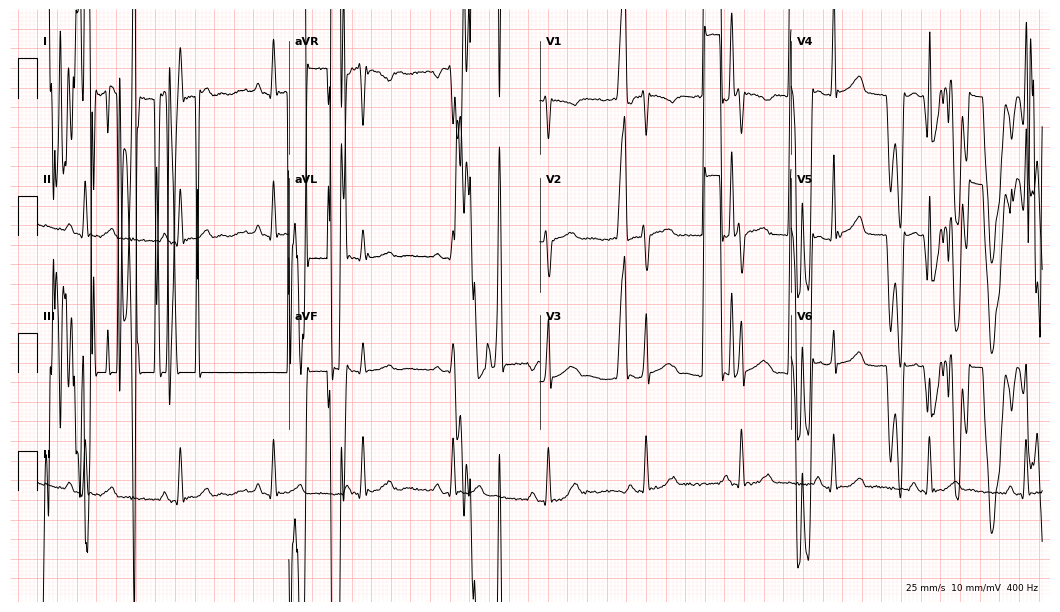
Standard 12-lead ECG recorded from a 41-year-old male patient (10.2-second recording at 400 Hz). None of these six findings is recorded: first-degree AV block, right bundle branch block (RBBB), left bundle branch block (LBBB), sinus bradycardia, atrial fibrillation (AF), sinus tachycardia.